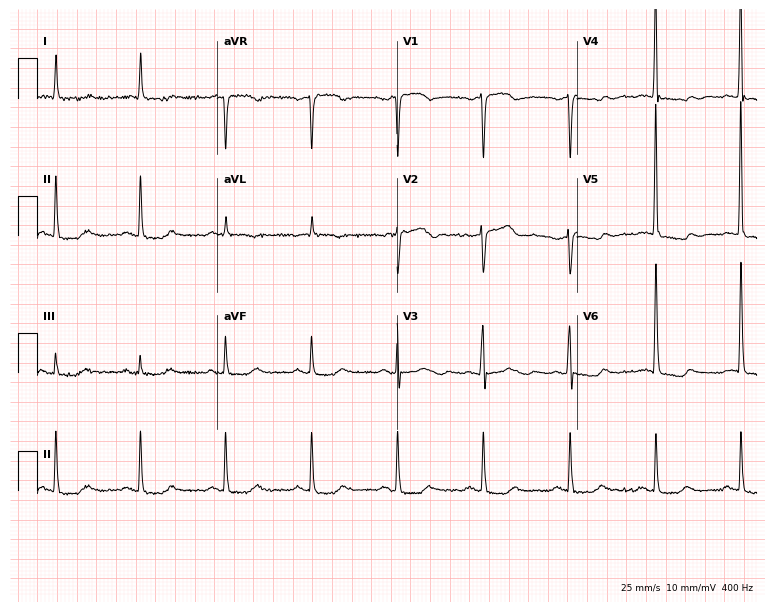
Electrocardiogram, a 67-year-old female. Of the six screened findings (first-degree AV block, right bundle branch block, left bundle branch block, sinus bradycardia, atrial fibrillation, sinus tachycardia), none is recorded.